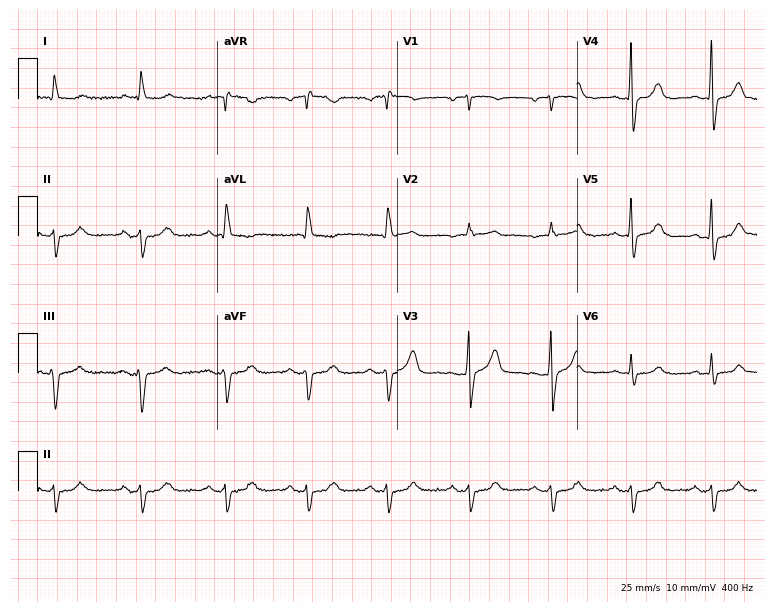
Electrocardiogram, a 79-year-old male. Of the six screened findings (first-degree AV block, right bundle branch block, left bundle branch block, sinus bradycardia, atrial fibrillation, sinus tachycardia), none is recorded. Findings outside these six are not listed.